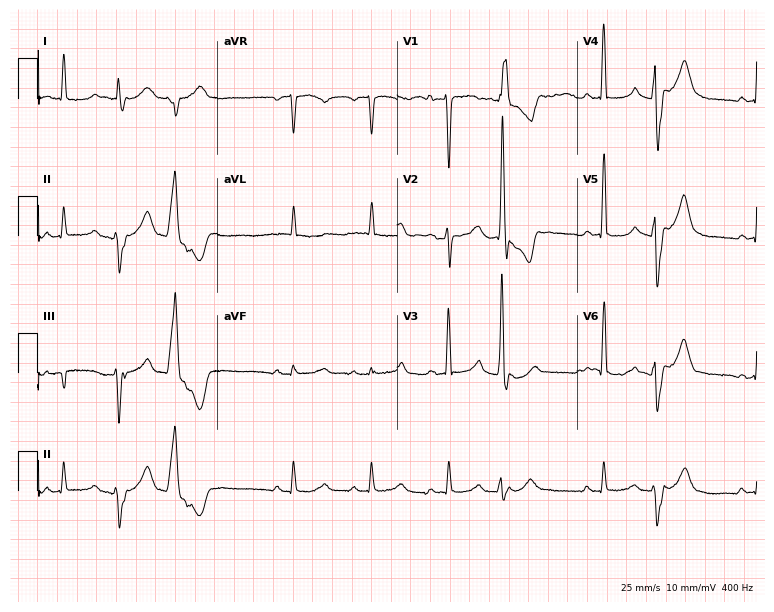
Resting 12-lead electrocardiogram (7.3-second recording at 400 Hz). Patient: a female, 73 years old. None of these six findings is recorded: first-degree AV block, right bundle branch block, left bundle branch block, sinus bradycardia, atrial fibrillation, sinus tachycardia. Only these six findings were labelled.